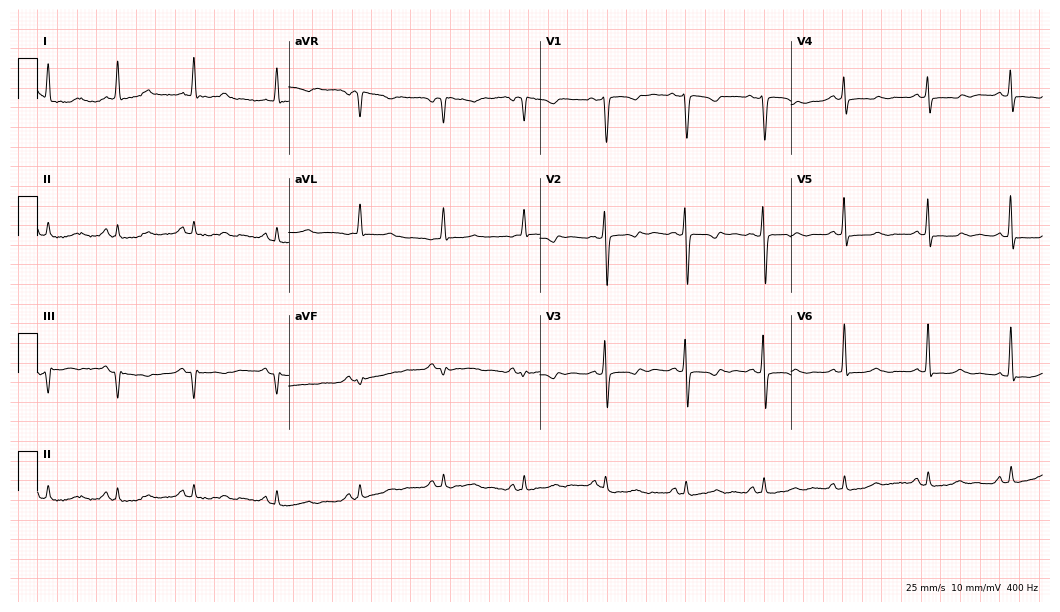
12-lead ECG (10.2-second recording at 400 Hz) from a 46-year-old female. Screened for six findings — first-degree AV block, right bundle branch block, left bundle branch block, sinus bradycardia, atrial fibrillation, sinus tachycardia — none is recorded. Only these six findings were labelled.